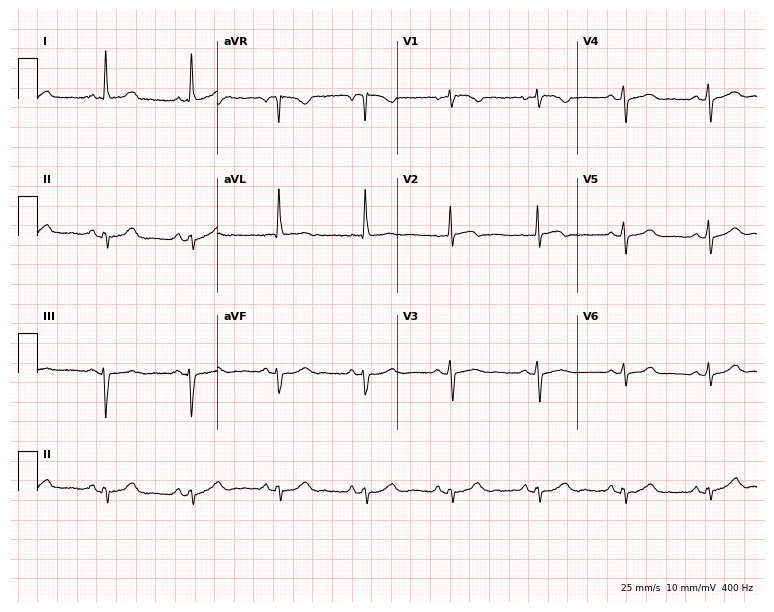
Electrocardiogram, a female patient, 50 years old. Of the six screened findings (first-degree AV block, right bundle branch block, left bundle branch block, sinus bradycardia, atrial fibrillation, sinus tachycardia), none is recorded.